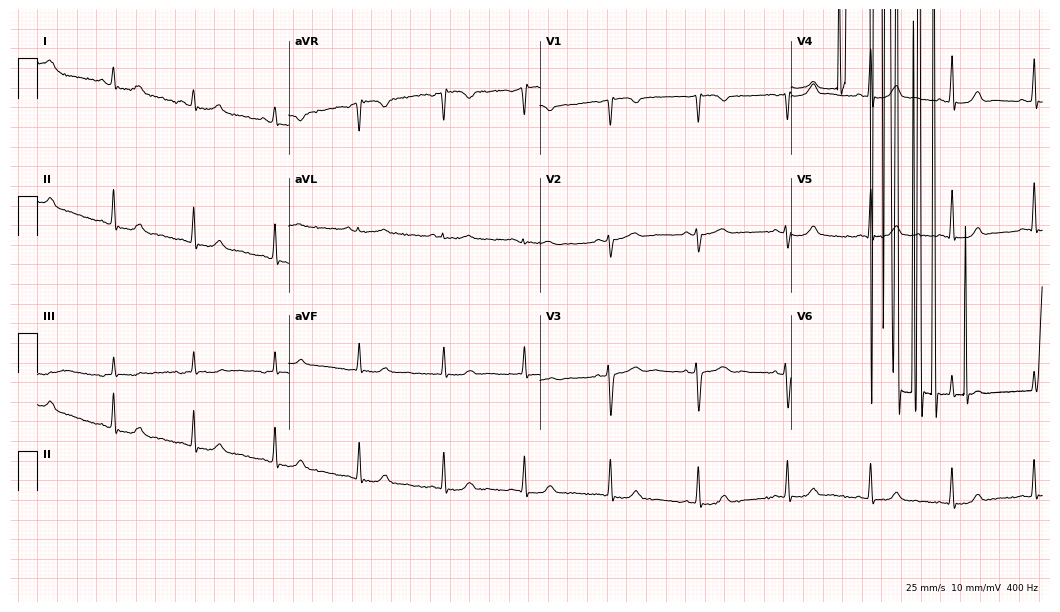
Resting 12-lead electrocardiogram (10.2-second recording at 400 Hz). Patient: a 41-year-old woman. Read as a normal ECG.